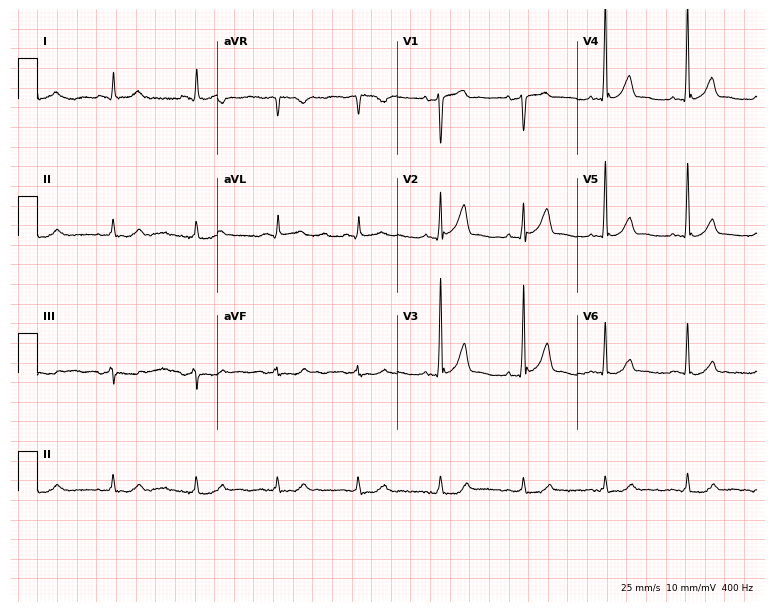
12-lead ECG from a male patient, 63 years old (7.3-second recording at 400 Hz). Recorded interpretation: within normal limits.